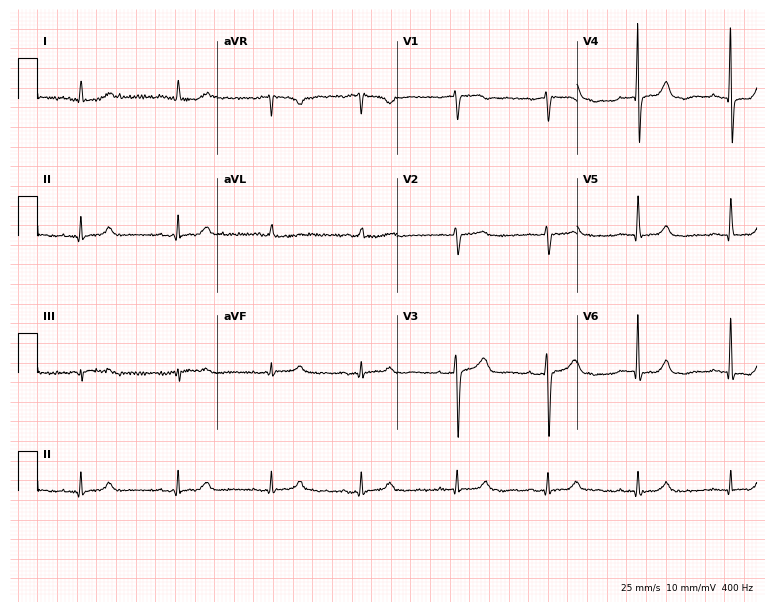
Electrocardiogram (7.3-second recording at 400 Hz), a 76-year-old female patient. Overall reading on record: normal ECG.